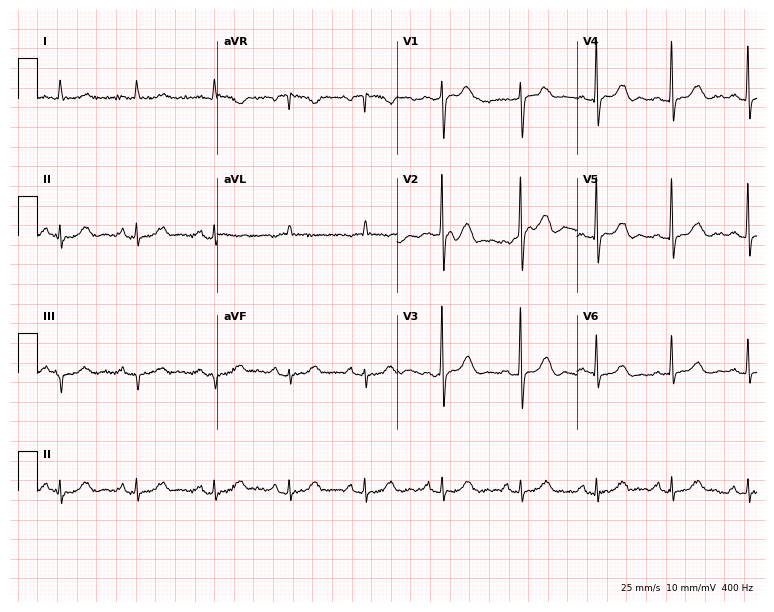
ECG — a female patient, 85 years old. Labelled as a normal ECG.